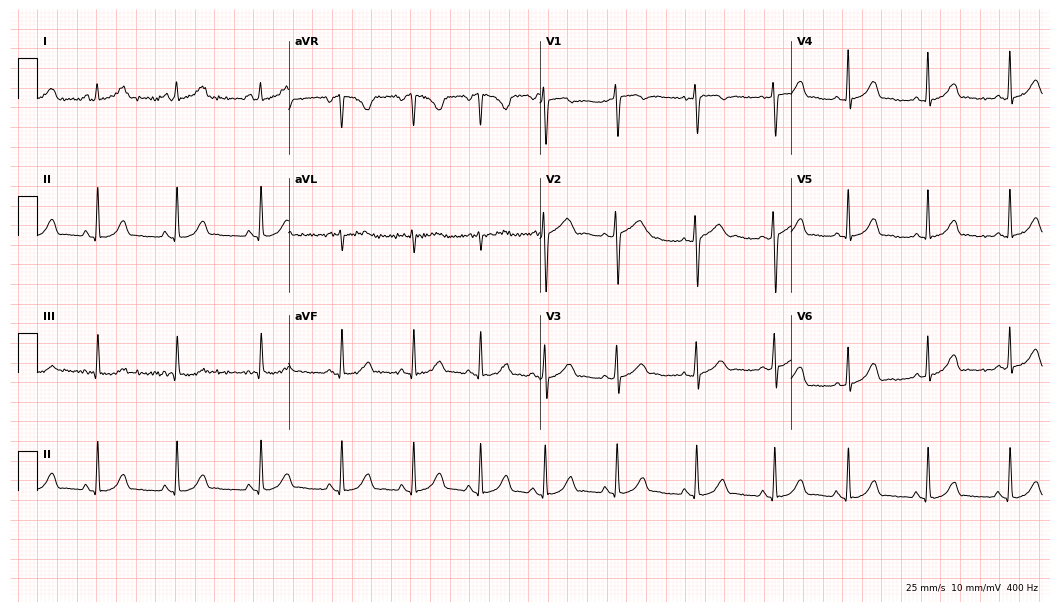
12-lead ECG (10.2-second recording at 400 Hz) from a 20-year-old female. Labelled as a normal ECG.